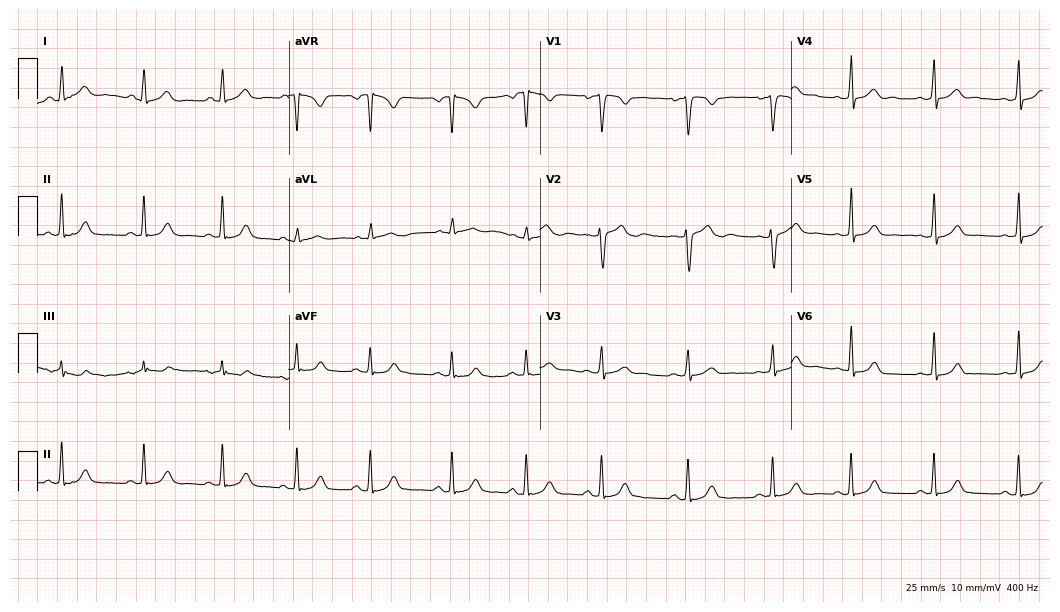
12-lead ECG from a woman, 23 years old. Recorded interpretation: within normal limits.